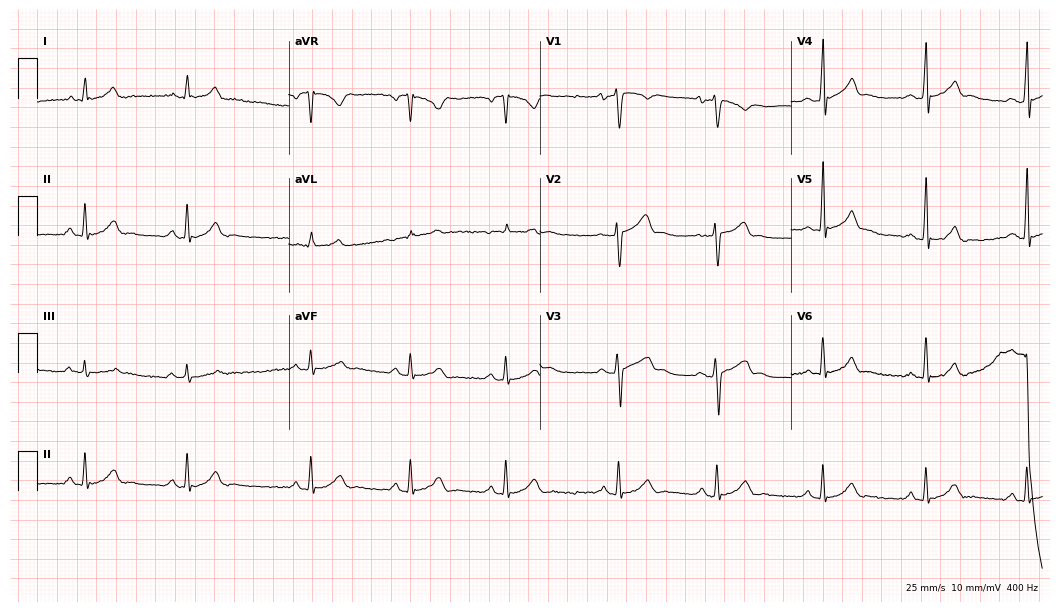
ECG (10.2-second recording at 400 Hz) — a male, 25 years old. Labelled as a normal ECG.